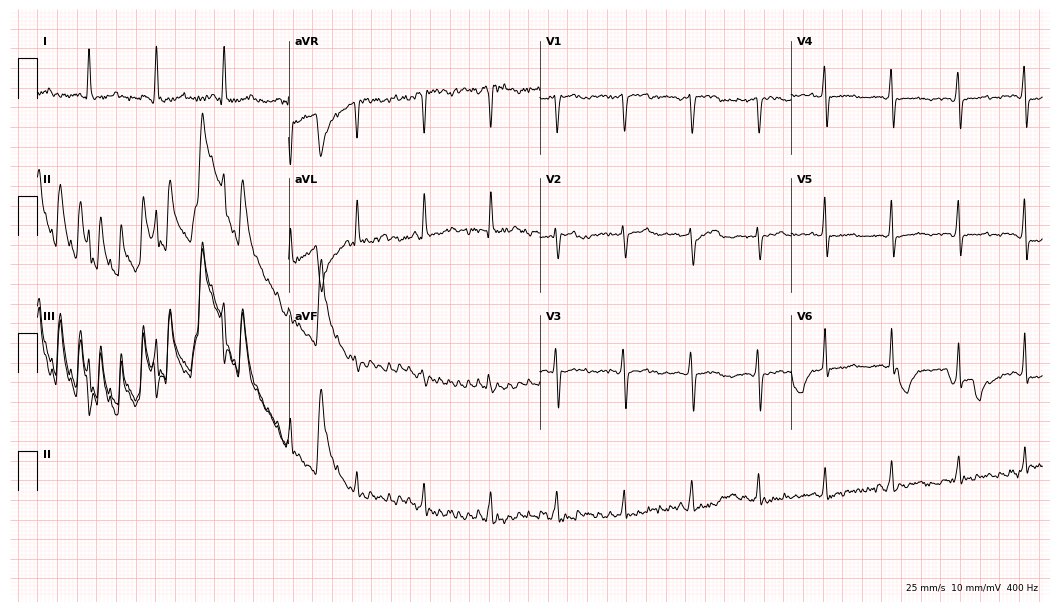
12-lead ECG (10.2-second recording at 400 Hz) from a 37-year-old woman. Screened for six findings — first-degree AV block, right bundle branch block, left bundle branch block, sinus bradycardia, atrial fibrillation, sinus tachycardia — none is recorded. Other findings, if any, are not listed.